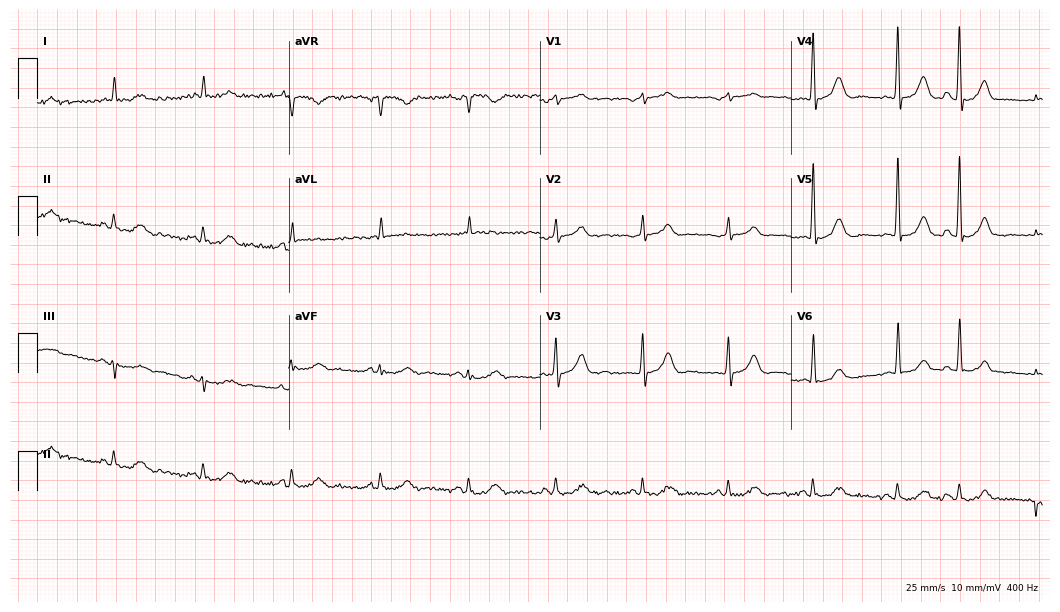
Resting 12-lead electrocardiogram. Patient: a man, 83 years old. None of these six findings is recorded: first-degree AV block, right bundle branch block, left bundle branch block, sinus bradycardia, atrial fibrillation, sinus tachycardia. Findings outside these six are not listed.